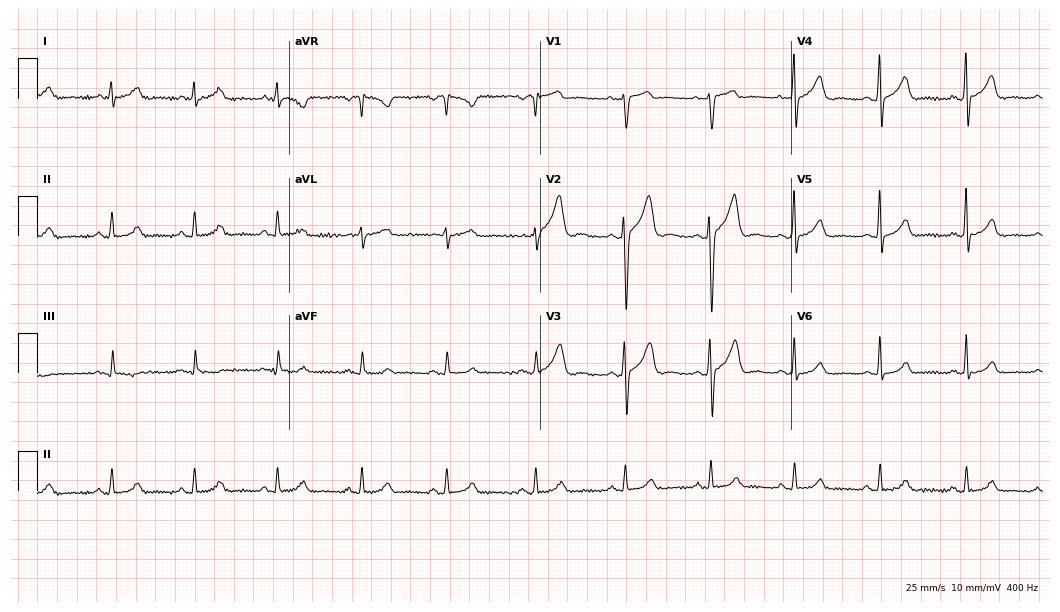
ECG — a man, 43 years old. Screened for six findings — first-degree AV block, right bundle branch block, left bundle branch block, sinus bradycardia, atrial fibrillation, sinus tachycardia — none is recorded. Only these six findings were labelled.